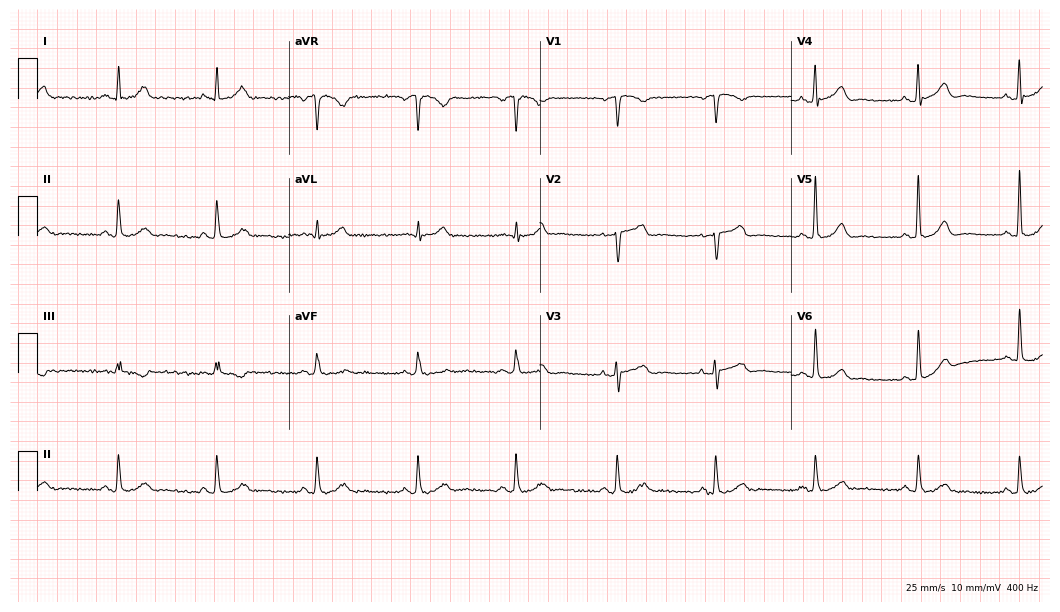
Resting 12-lead electrocardiogram. Patient: a 61-year-old woman. None of these six findings is recorded: first-degree AV block, right bundle branch block, left bundle branch block, sinus bradycardia, atrial fibrillation, sinus tachycardia.